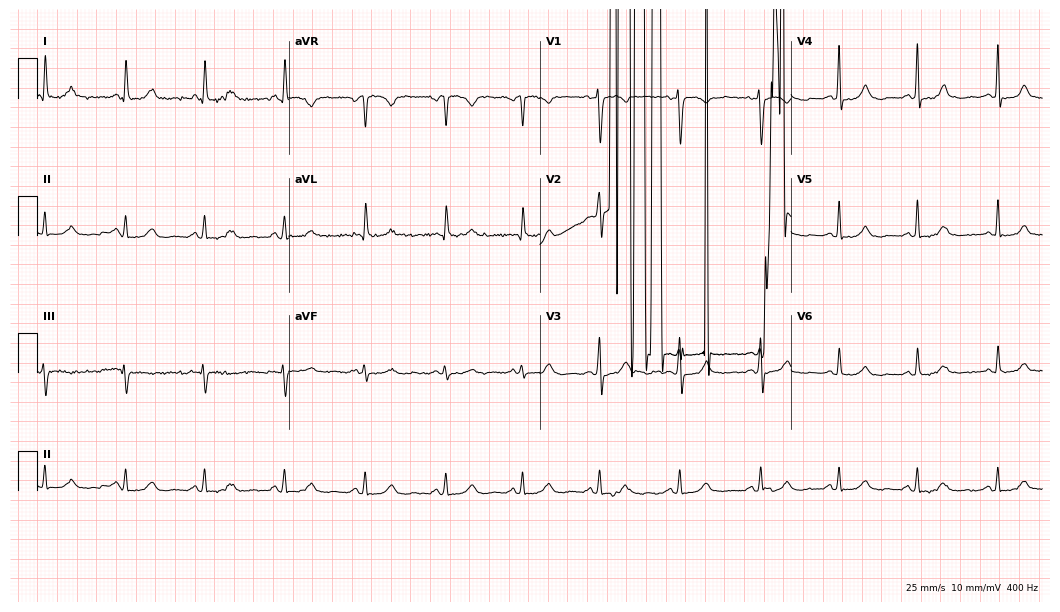
12-lead ECG (10.2-second recording at 400 Hz) from a 56-year-old woman. Screened for six findings — first-degree AV block, right bundle branch block, left bundle branch block, sinus bradycardia, atrial fibrillation, sinus tachycardia — none is recorded.